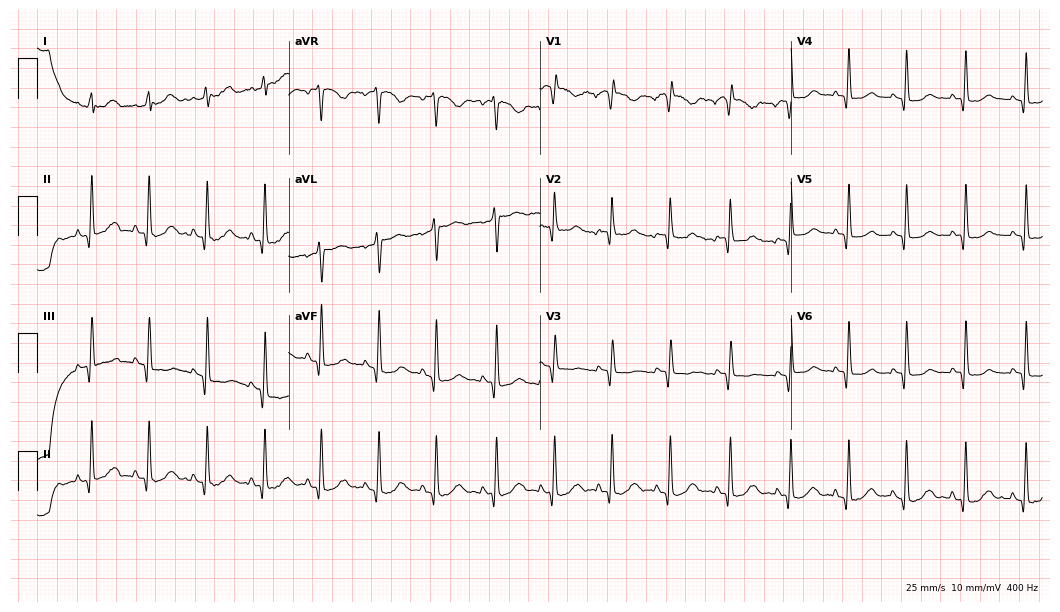
Electrocardiogram, a 34-year-old female. Of the six screened findings (first-degree AV block, right bundle branch block (RBBB), left bundle branch block (LBBB), sinus bradycardia, atrial fibrillation (AF), sinus tachycardia), none is recorded.